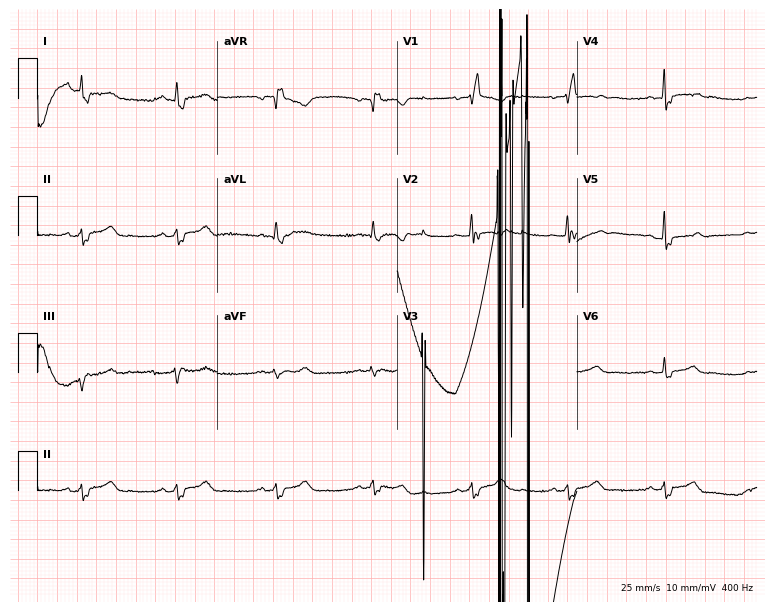
Resting 12-lead electrocardiogram. Patient: a 41-year-old woman. None of these six findings is recorded: first-degree AV block, right bundle branch block, left bundle branch block, sinus bradycardia, atrial fibrillation, sinus tachycardia.